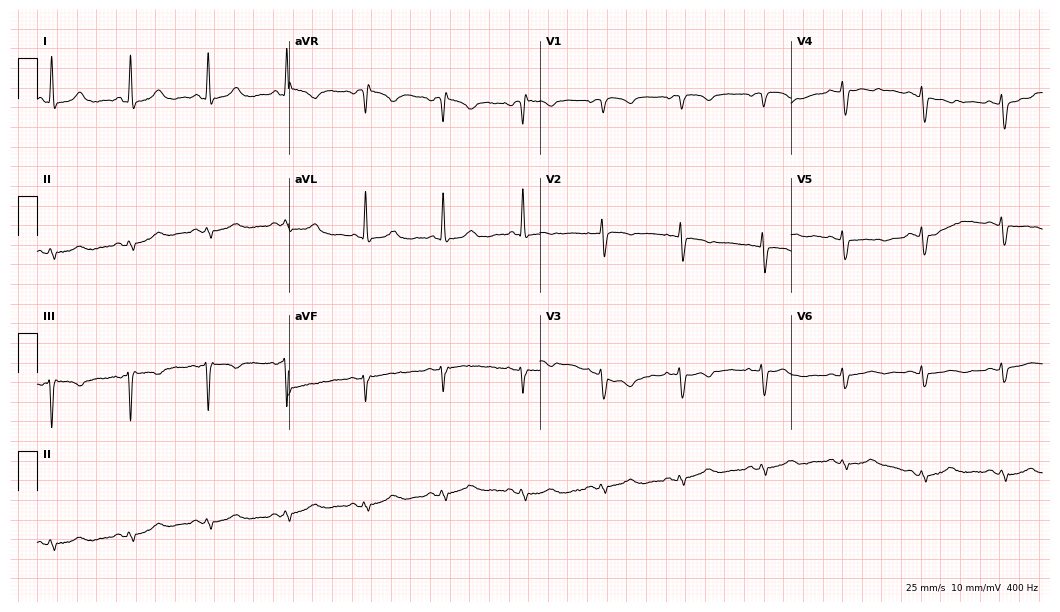
Electrocardiogram, a woman, 65 years old. Of the six screened findings (first-degree AV block, right bundle branch block, left bundle branch block, sinus bradycardia, atrial fibrillation, sinus tachycardia), none is recorded. Findings outside these six are not listed.